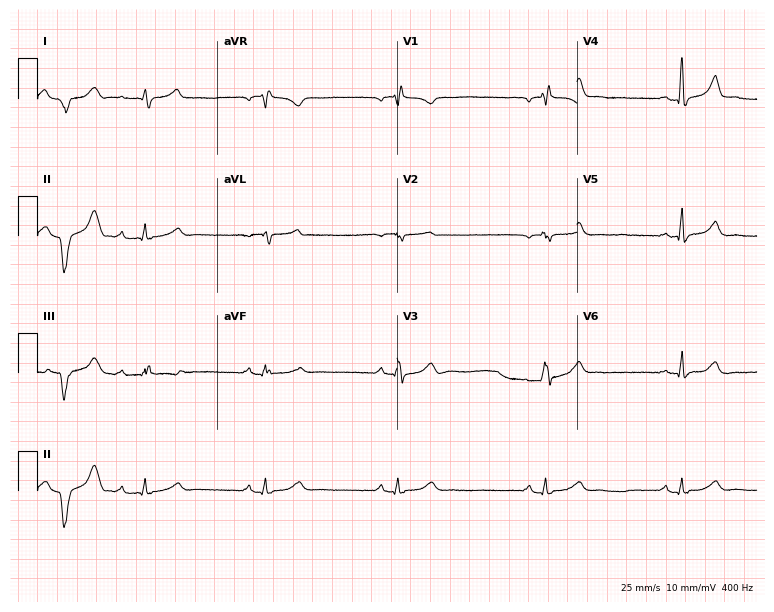
12-lead ECG from a male patient, 54 years old. Findings include right bundle branch block, sinus bradycardia (a sinus rate of 50 beats per minute or less).